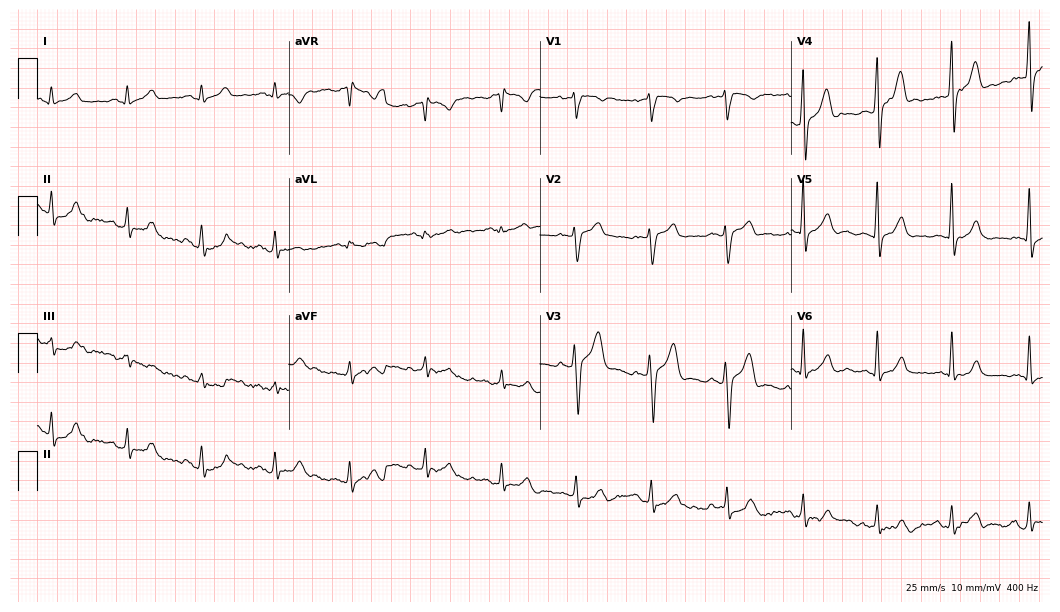
12-lead ECG (10.2-second recording at 400 Hz) from a male, 42 years old. Labelled as a normal ECG.